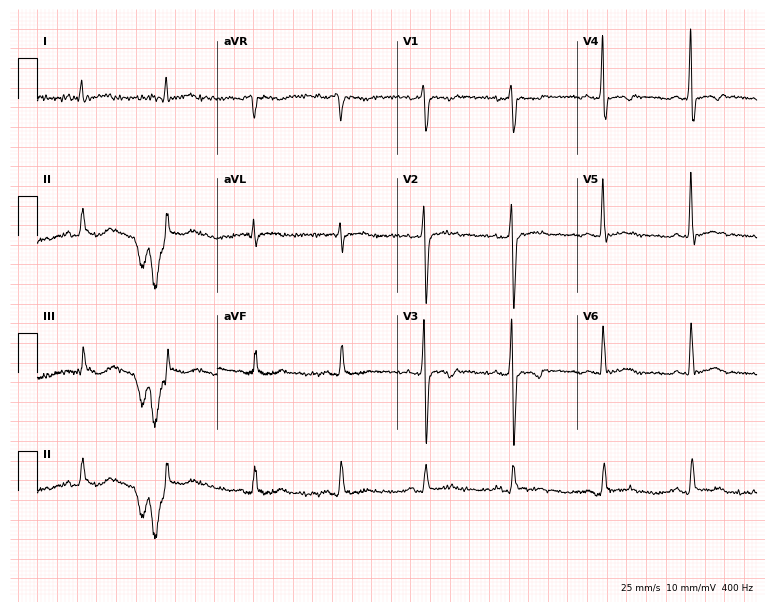
12-lead ECG from a male, 49 years old (7.3-second recording at 400 Hz). No first-degree AV block, right bundle branch block, left bundle branch block, sinus bradycardia, atrial fibrillation or sinus tachycardia recorded for this tracing.